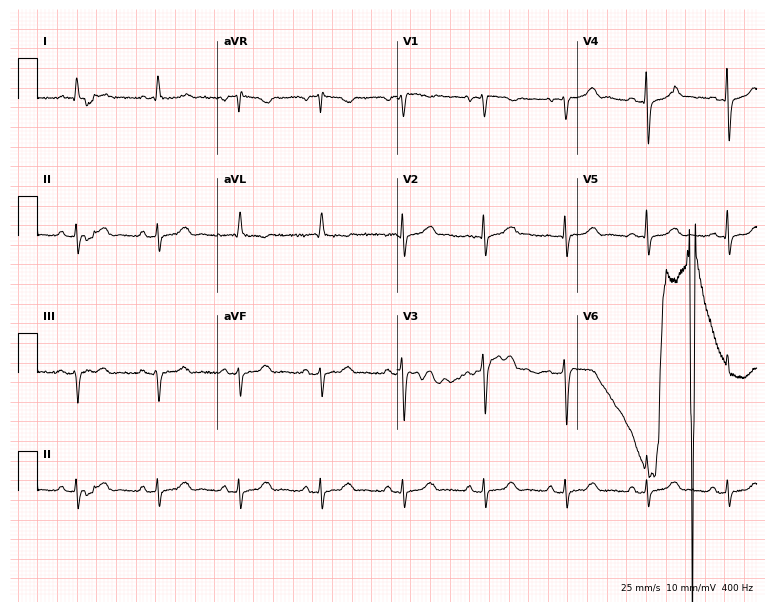
12-lead ECG from a man, 82 years old (7.3-second recording at 400 Hz). No first-degree AV block, right bundle branch block, left bundle branch block, sinus bradycardia, atrial fibrillation or sinus tachycardia recorded for this tracing.